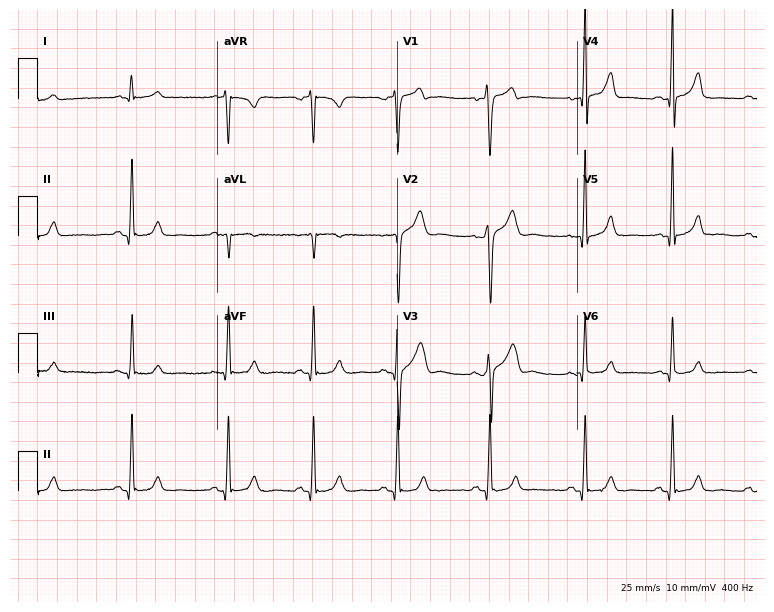
ECG — a 30-year-old male patient. Labelled as a normal ECG.